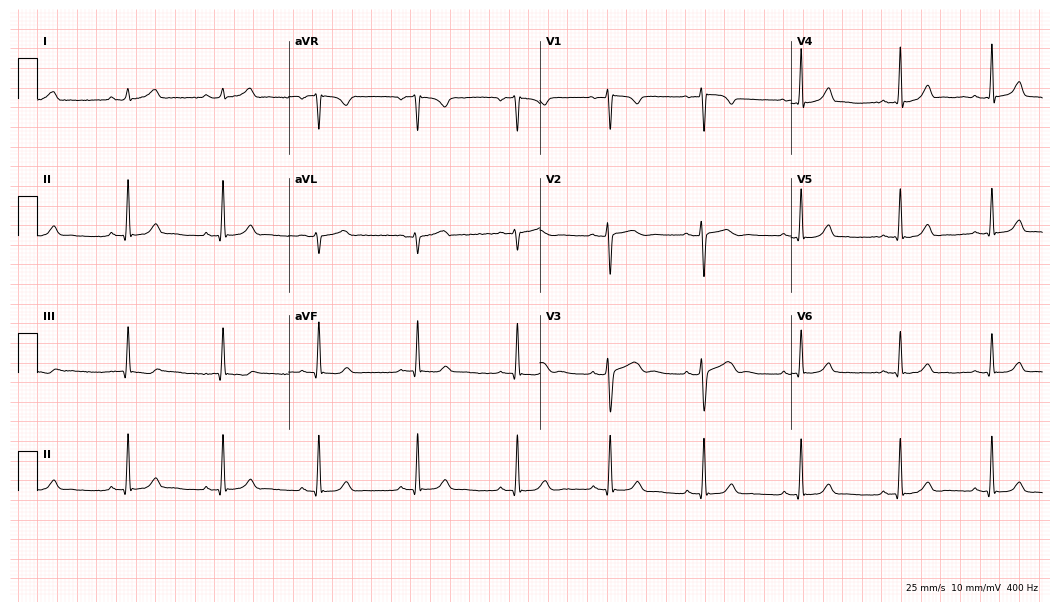
Electrocardiogram, a female patient, 27 years old. Of the six screened findings (first-degree AV block, right bundle branch block, left bundle branch block, sinus bradycardia, atrial fibrillation, sinus tachycardia), none is recorded. Findings outside these six are not listed.